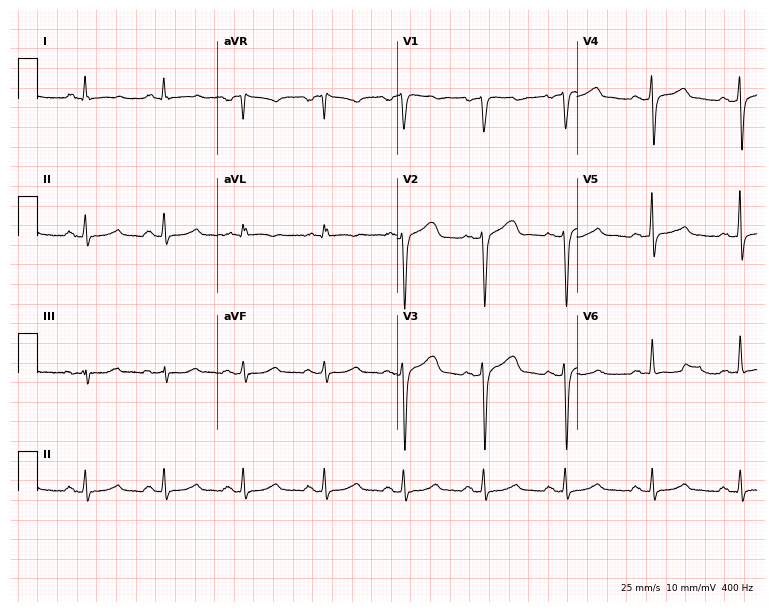
Standard 12-lead ECG recorded from a 56-year-old male patient. Read as a normal ECG.